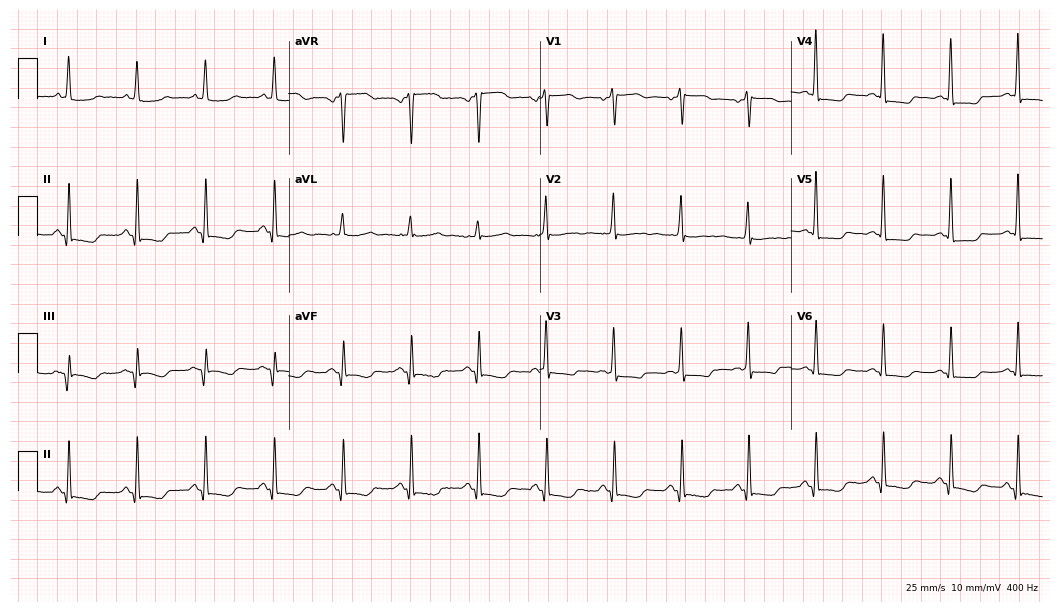
12-lead ECG from a female patient, 64 years old. Screened for six findings — first-degree AV block, right bundle branch block, left bundle branch block, sinus bradycardia, atrial fibrillation, sinus tachycardia — none is recorded.